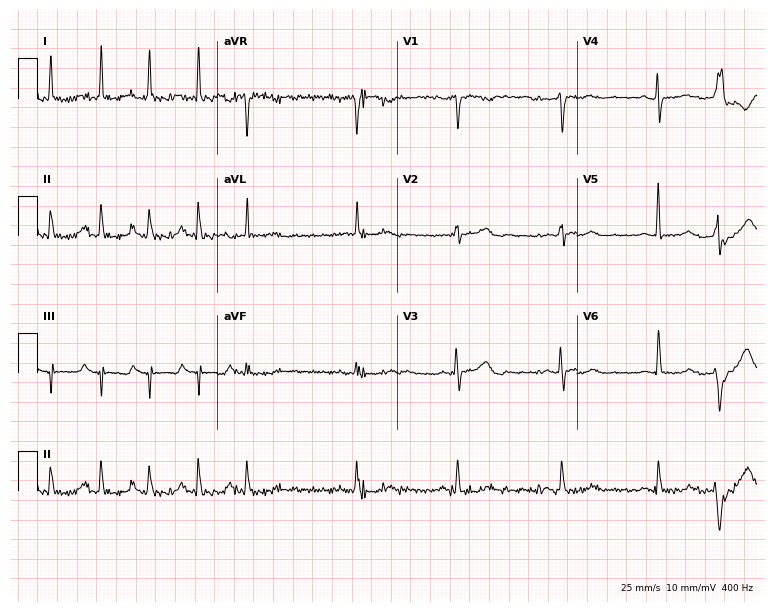
Standard 12-lead ECG recorded from an 83-year-old female patient. The tracing shows atrial fibrillation.